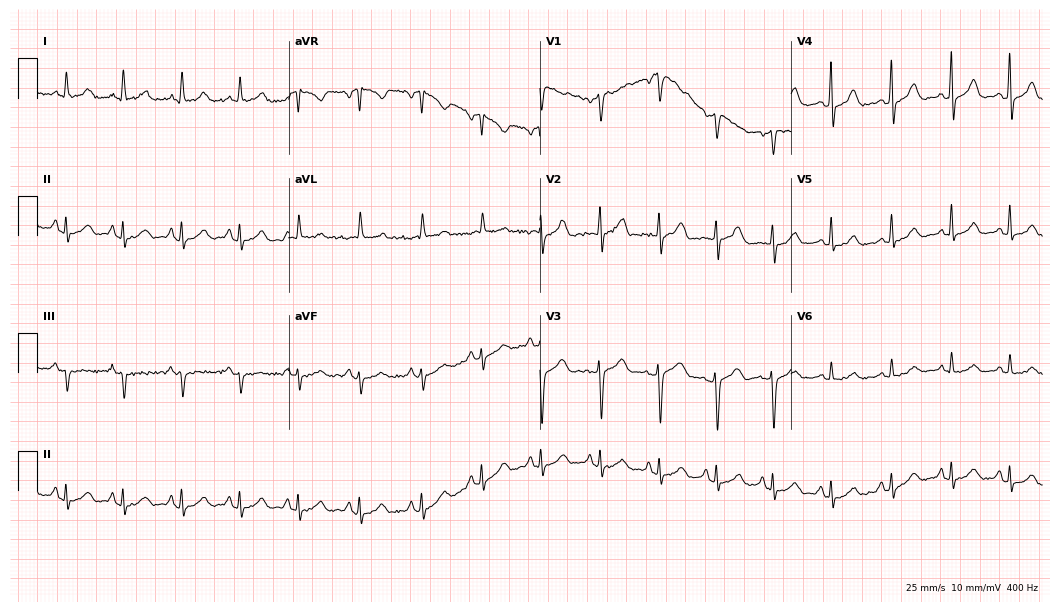
Electrocardiogram (10.2-second recording at 400 Hz), a 41-year-old female. Overall reading on record: normal ECG.